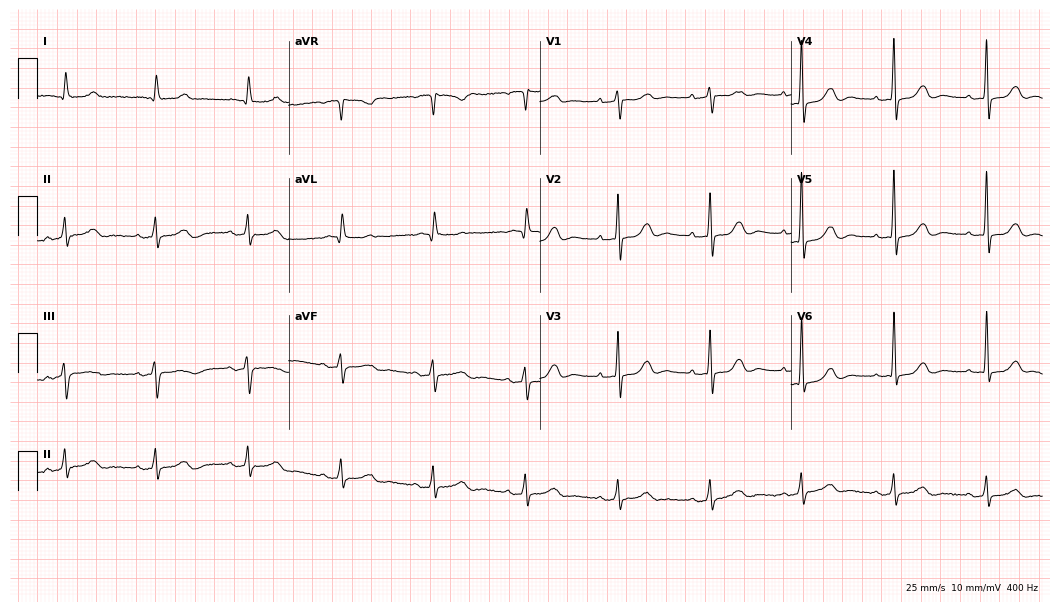
Standard 12-lead ECG recorded from a female, 82 years old (10.2-second recording at 400 Hz). Read as a normal ECG.